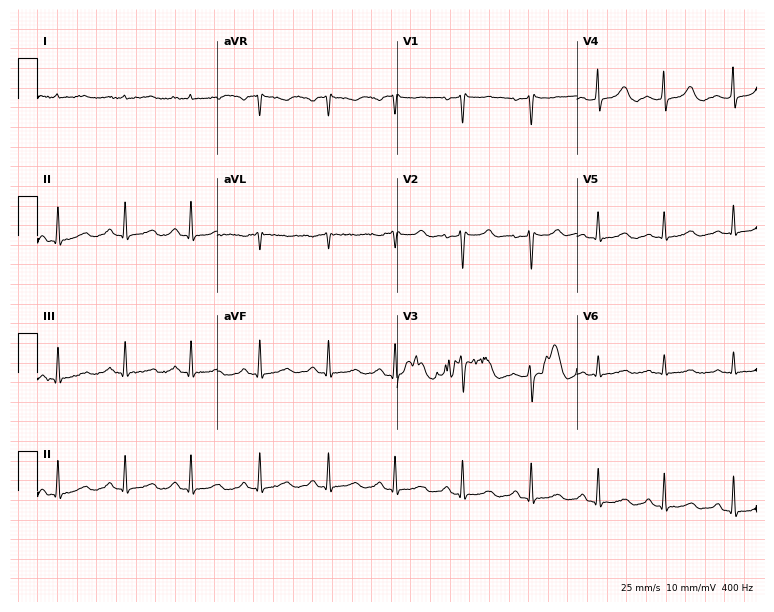
Resting 12-lead electrocardiogram. Patient: a woman, 47 years old. None of these six findings is recorded: first-degree AV block, right bundle branch block, left bundle branch block, sinus bradycardia, atrial fibrillation, sinus tachycardia. Findings outside these six are not listed.